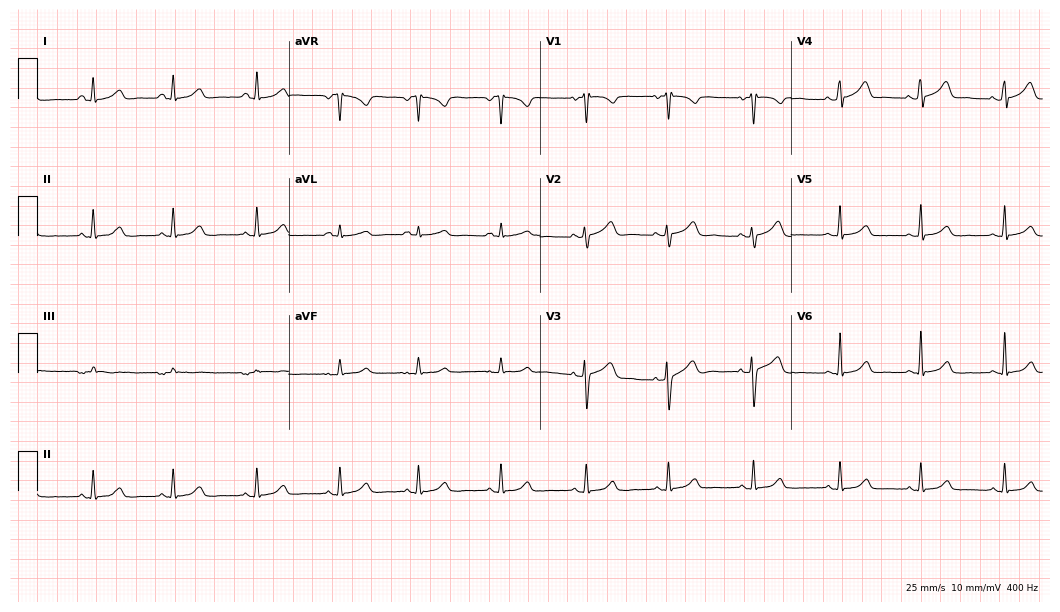
Resting 12-lead electrocardiogram (10.2-second recording at 400 Hz). Patient: a 26-year-old woman. Read as a normal ECG.